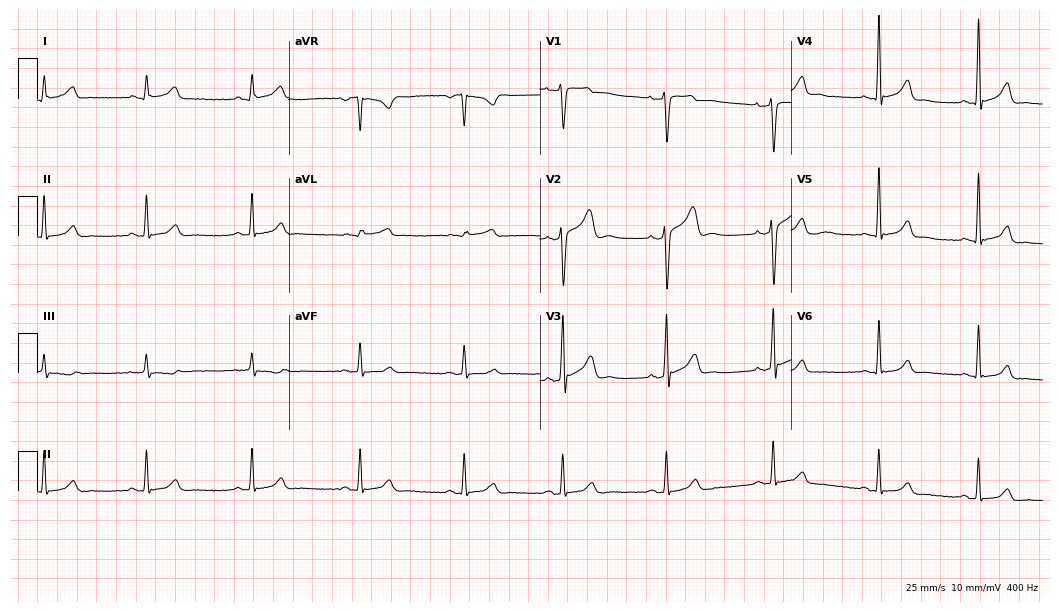
Standard 12-lead ECG recorded from a male, 40 years old. Read as a normal ECG.